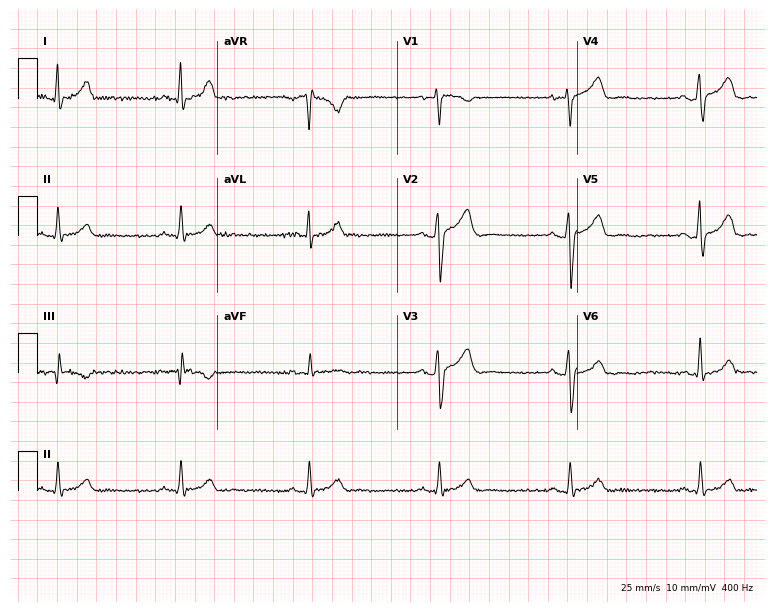
ECG (7.3-second recording at 400 Hz) — a male, 43 years old. Findings include sinus bradycardia (a sinus rate of 50 beats per minute or less).